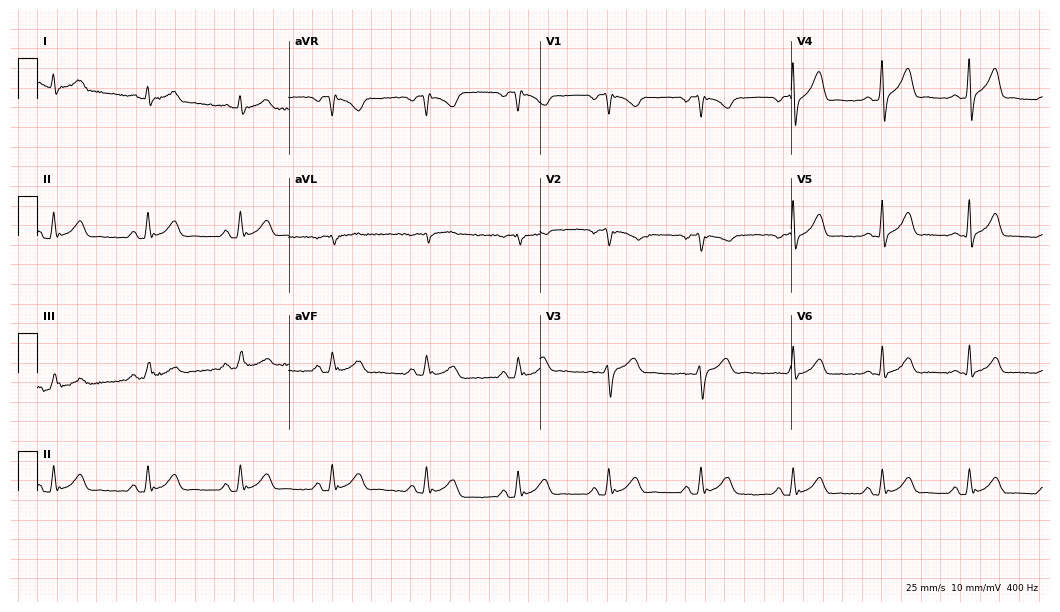
12-lead ECG from a man, 36 years old (10.2-second recording at 400 Hz). No first-degree AV block, right bundle branch block (RBBB), left bundle branch block (LBBB), sinus bradycardia, atrial fibrillation (AF) or sinus tachycardia recorded for this tracing. Only these six findings were labelled.